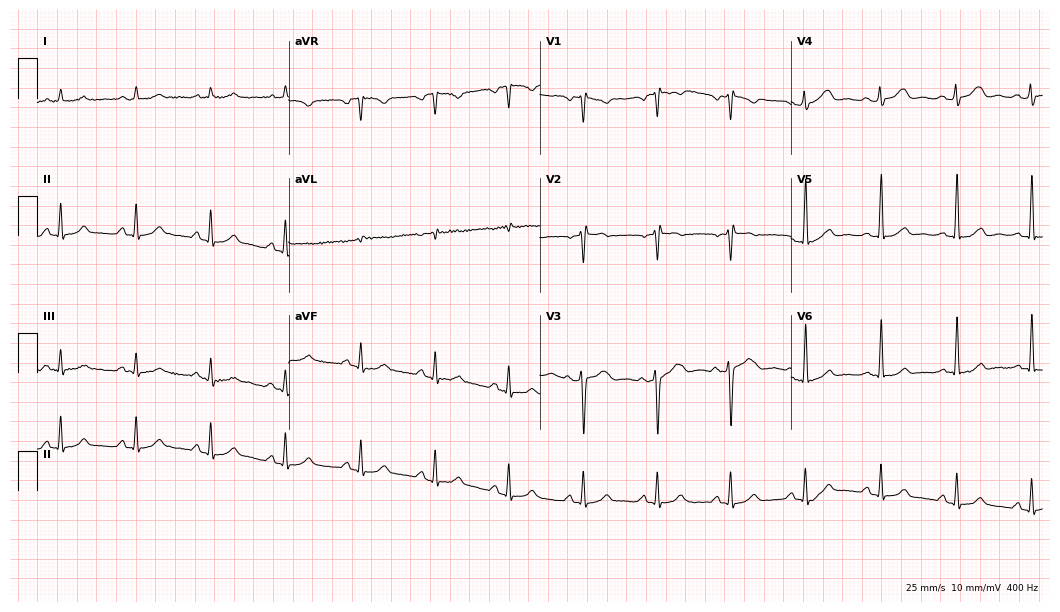
12-lead ECG from a 50-year-old female (10.2-second recording at 400 Hz). Recorded interpretation: within normal limits.